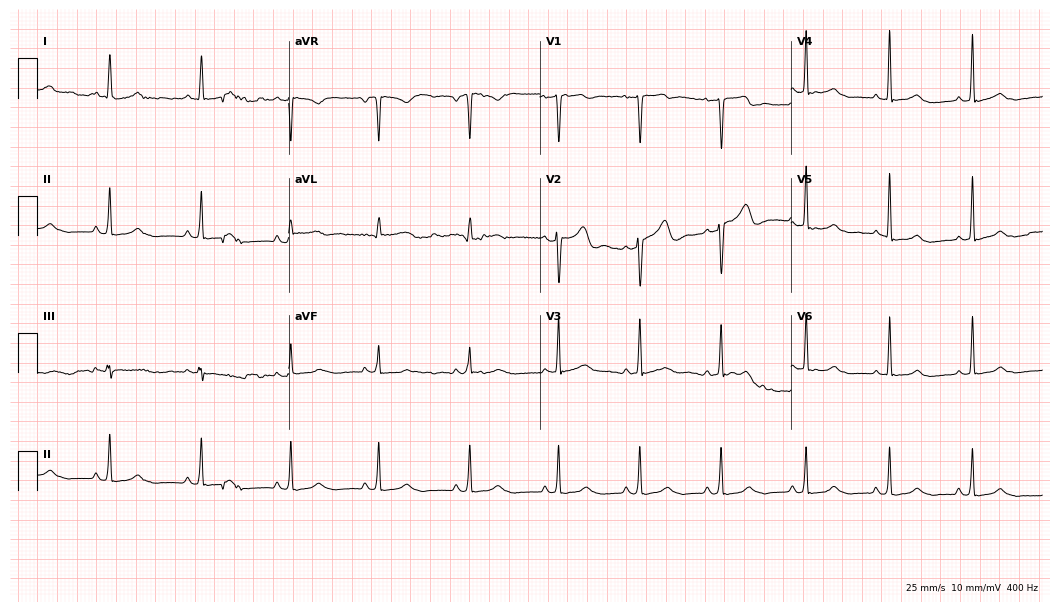
Resting 12-lead electrocardiogram. Patient: a 37-year-old female. Read as a normal ECG.